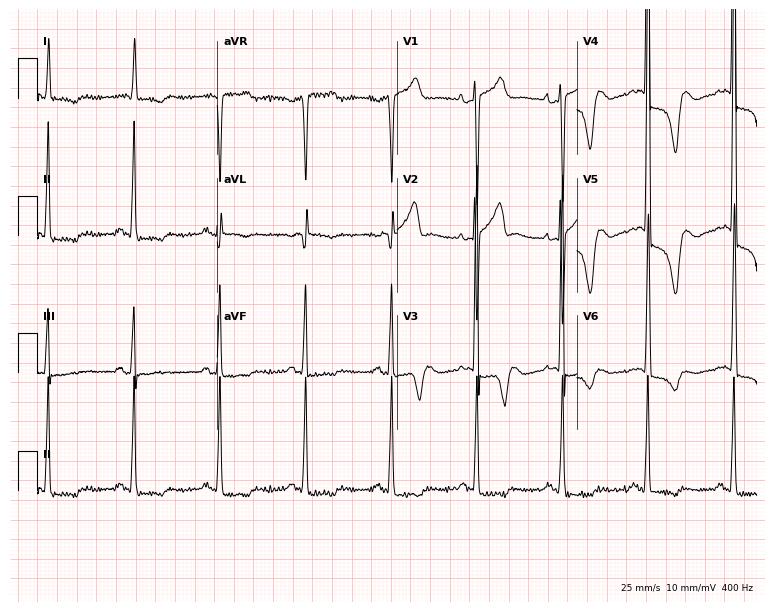
12-lead ECG (7.3-second recording at 400 Hz) from a female, 73 years old. Screened for six findings — first-degree AV block, right bundle branch block, left bundle branch block, sinus bradycardia, atrial fibrillation, sinus tachycardia — none is recorded. Findings outside these six are not listed.